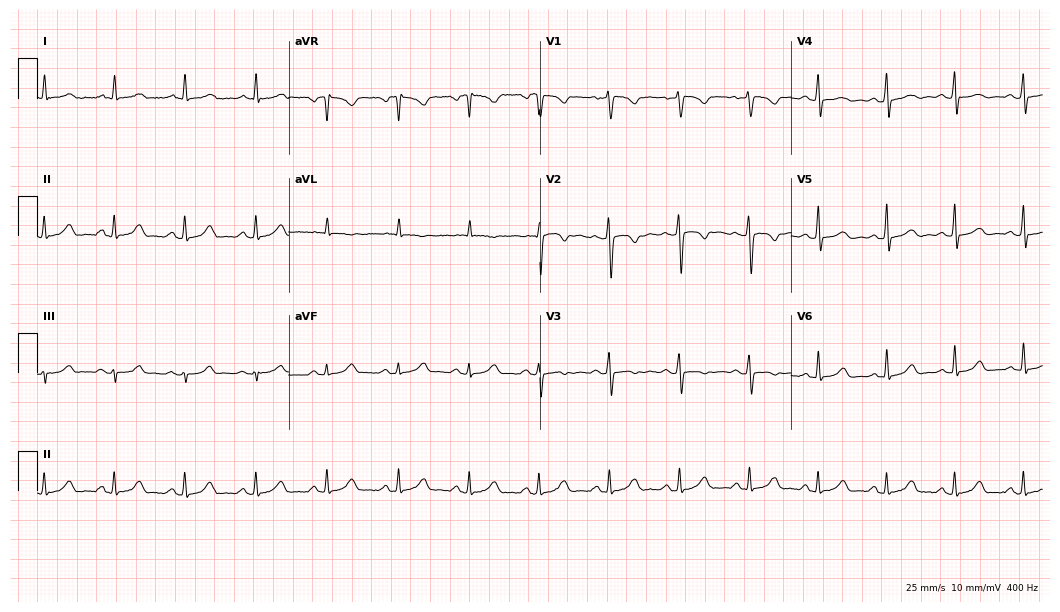
Standard 12-lead ECG recorded from a 51-year-old woman (10.2-second recording at 400 Hz). Read as a normal ECG.